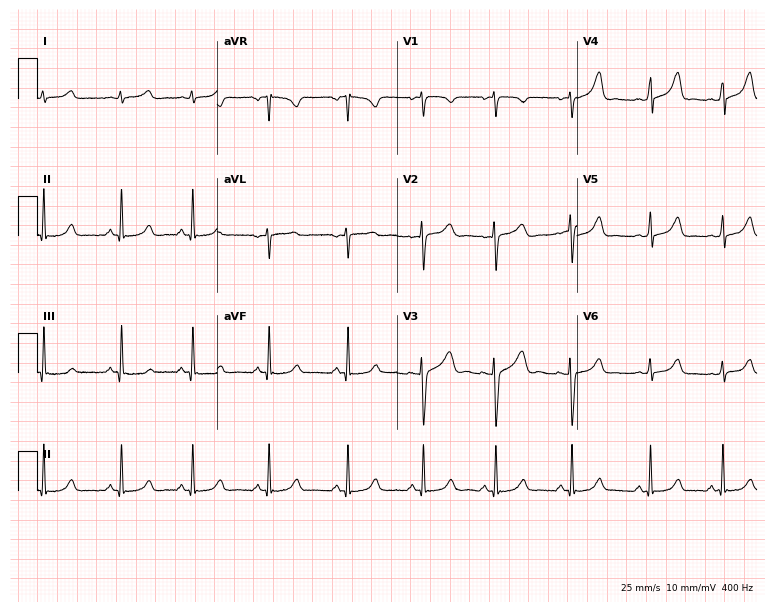
Electrocardiogram (7.3-second recording at 400 Hz), a 26-year-old woman. Overall reading on record: normal ECG.